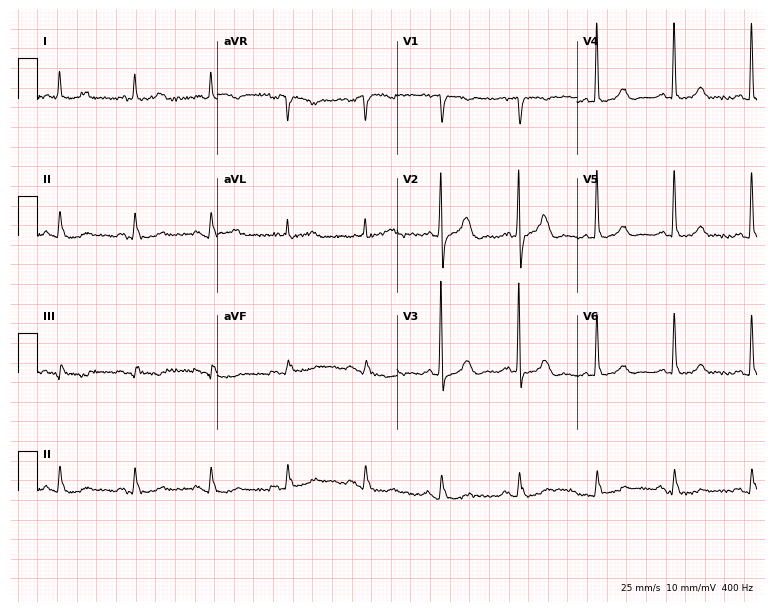
Resting 12-lead electrocardiogram (7.3-second recording at 400 Hz). Patient: a 63-year-old woman. Read as a normal ECG.